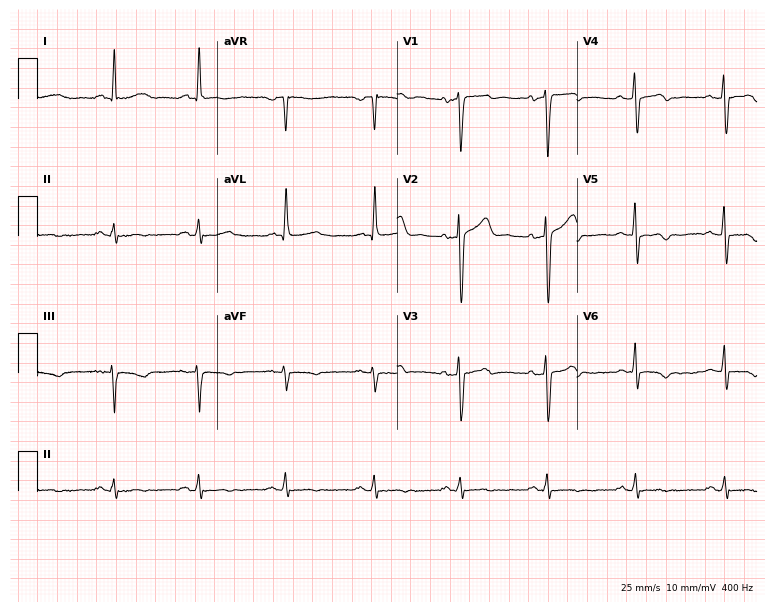
12-lead ECG from a male patient, 40 years old. No first-degree AV block, right bundle branch block, left bundle branch block, sinus bradycardia, atrial fibrillation or sinus tachycardia recorded for this tracing. Only these six findings were labelled.